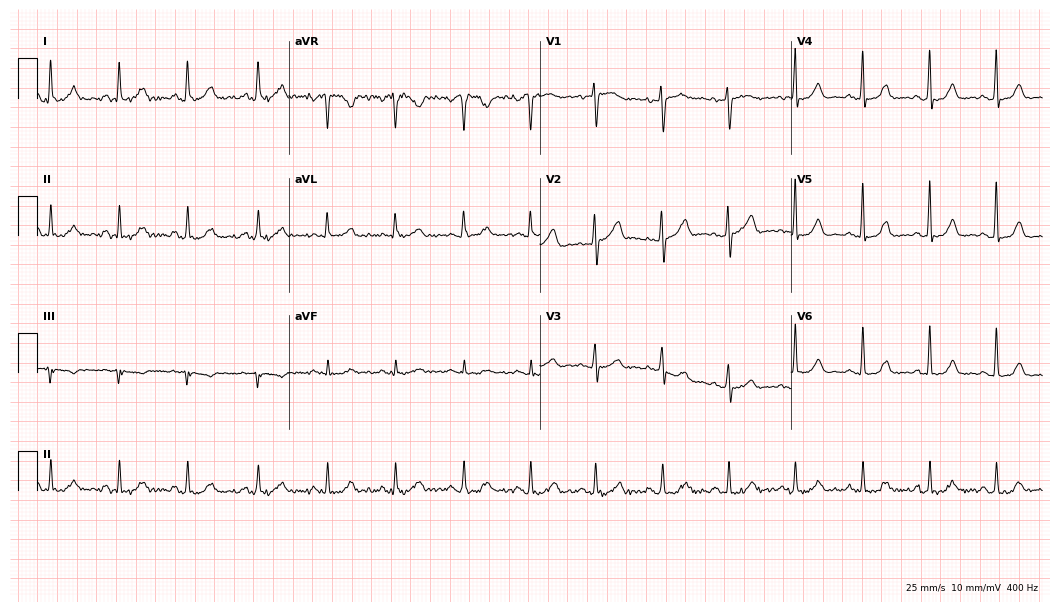
Electrocardiogram, a 53-year-old female. Of the six screened findings (first-degree AV block, right bundle branch block (RBBB), left bundle branch block (LBBB), sinus bradycardia, atrial fibrillation (AF), sinus tachycardia), none is recorded.